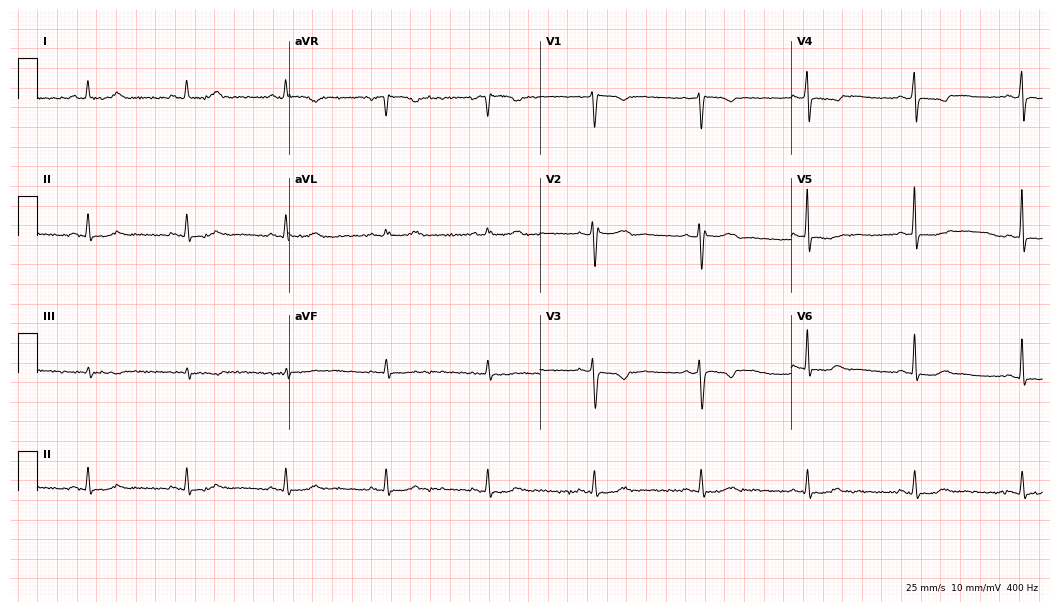
ECG (10.2-second recording at 400 Hz) — a woman, 33 years old. Labelled as a normal ECG.